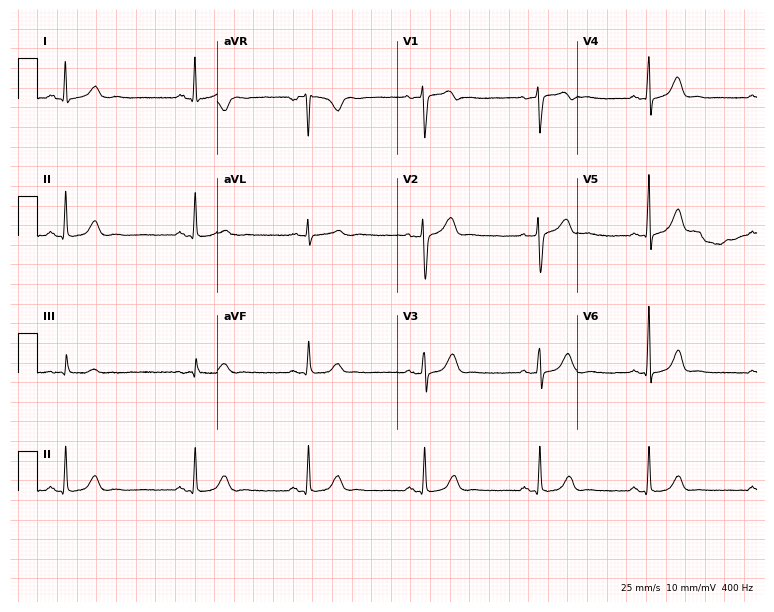
Resting 12-lead electrocardiogram. Patient: a 51-year-old female. Read as a normal ECG.